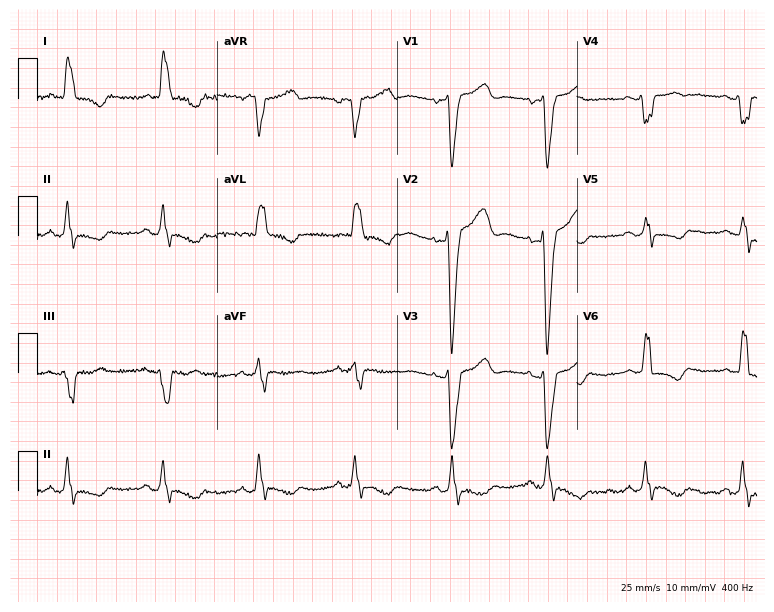
12-lead ECG from a 66-year-old female. Screened for six findings — first-degree AV block, right bundle branch block (RBBB), left bundle branch block (LBBB), sinus bradycardia, atrial fibrillation (AF), sinus tachycardia — none is recorded.